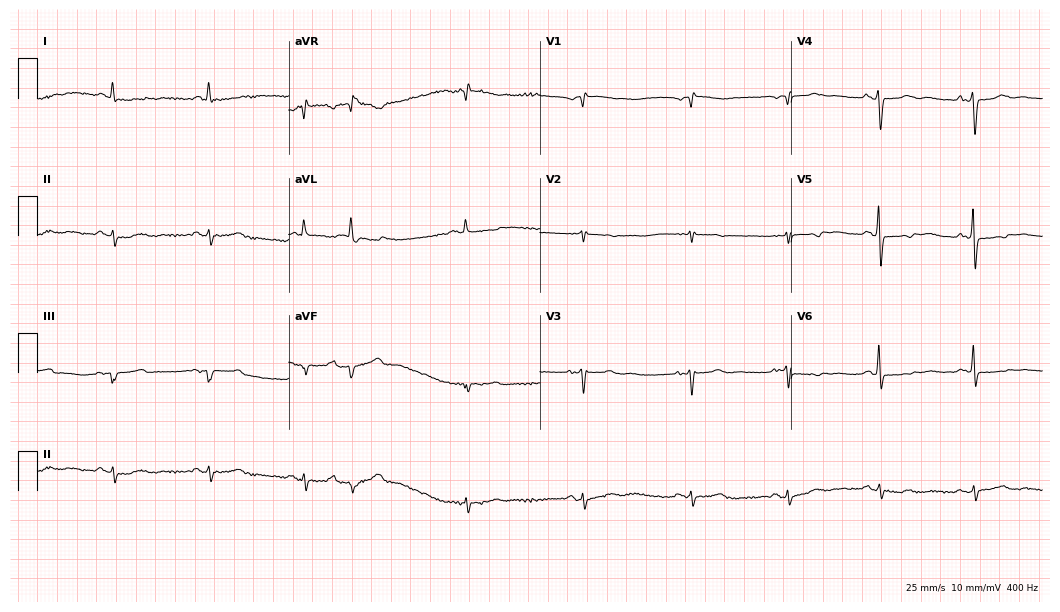
12-lead ECG from a female patient, 72 years old (10.2-second recording at 400 Hz). No first-degree AV block, right bundle branch block, left bundle branch block, sinus bradycardia, atrial fibrillation or sinus tachycardia recorded for this tracing.